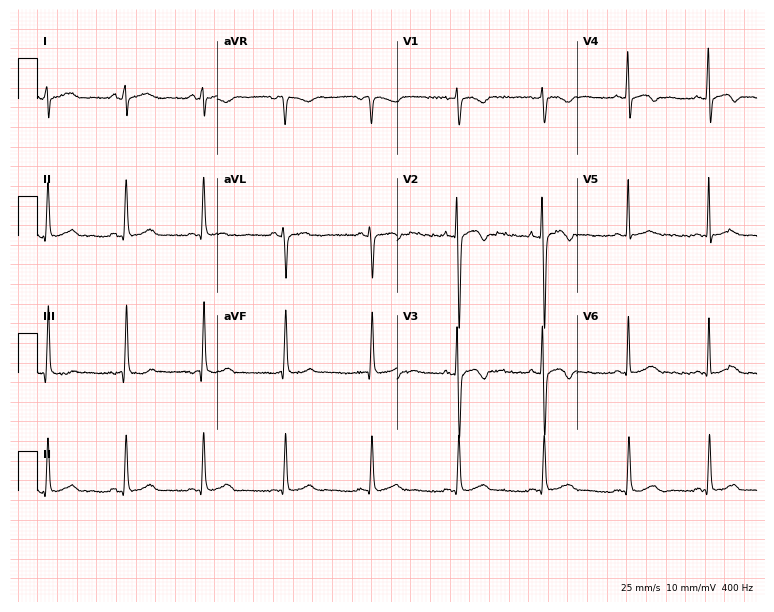
ECG — a female, 22 years old. Screened for six findings — first-degree AV block, right bundle branch block, left bundle branch block, sinus bradycardia, atrial fibrillation, sinus tachycardia — none is recorded.